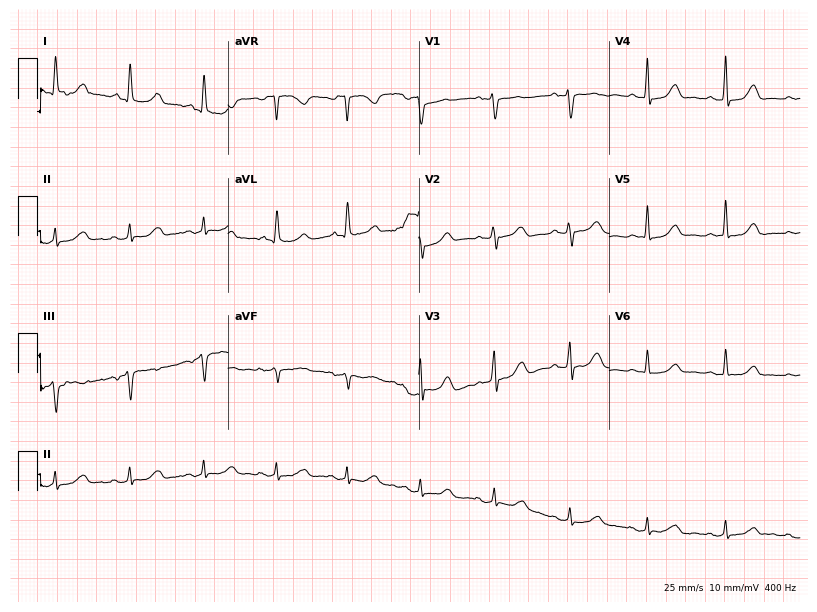
Standard 12-lead ECG recorded from a 64-year-old woman (7.8-second recording at 400 Hz). Read as a normal ECG.